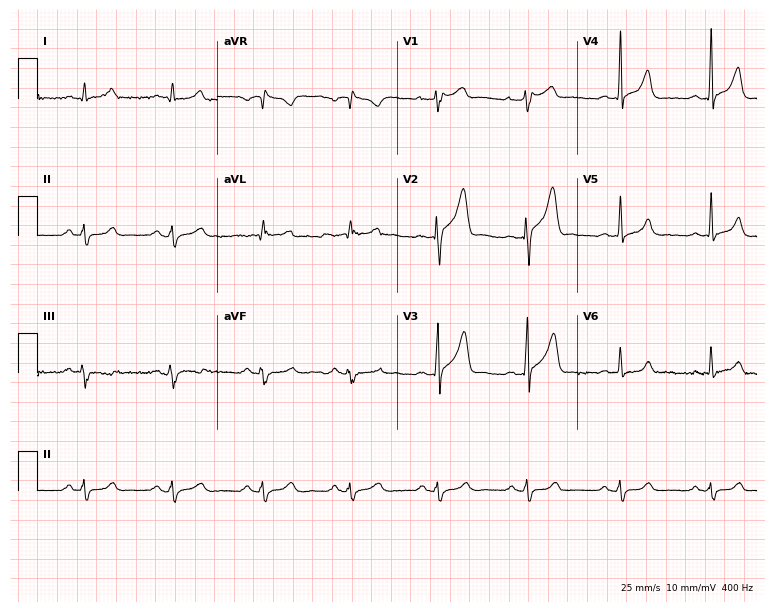
12-lead ECG from a 33-year-old male (7.3-second recording at 400 Hz). No first-degree AV block, right bundle branch block, left bundle branch block, sinus bradycardia, atrial fibrillation or sinus tachycardia recorded for this tracing. Findings outside these six are not listed.